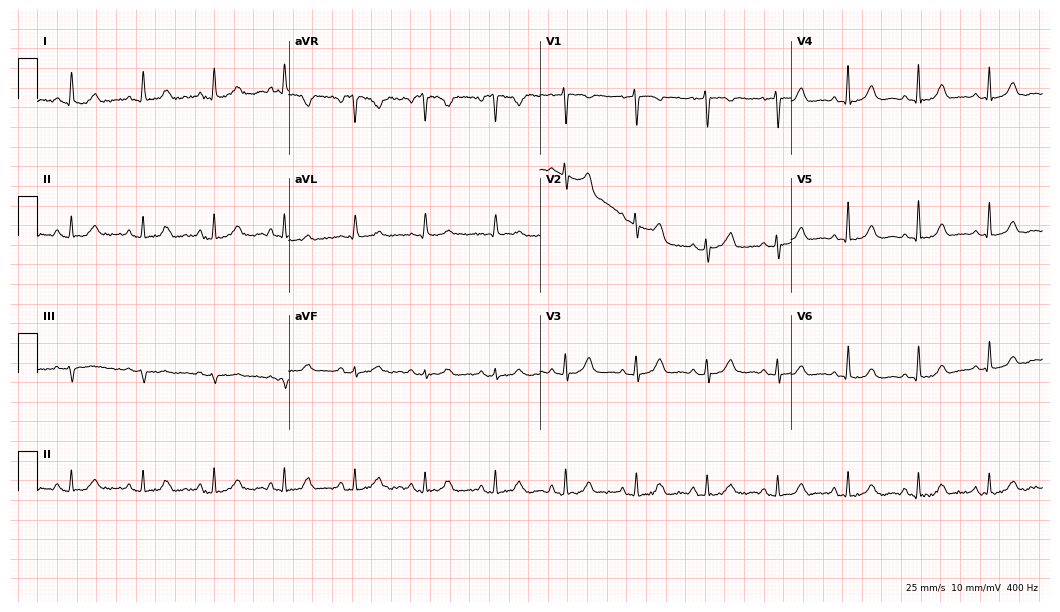
Electrocardiogram, a 72-year-old female patient. Overall reading on record: normal ECG.